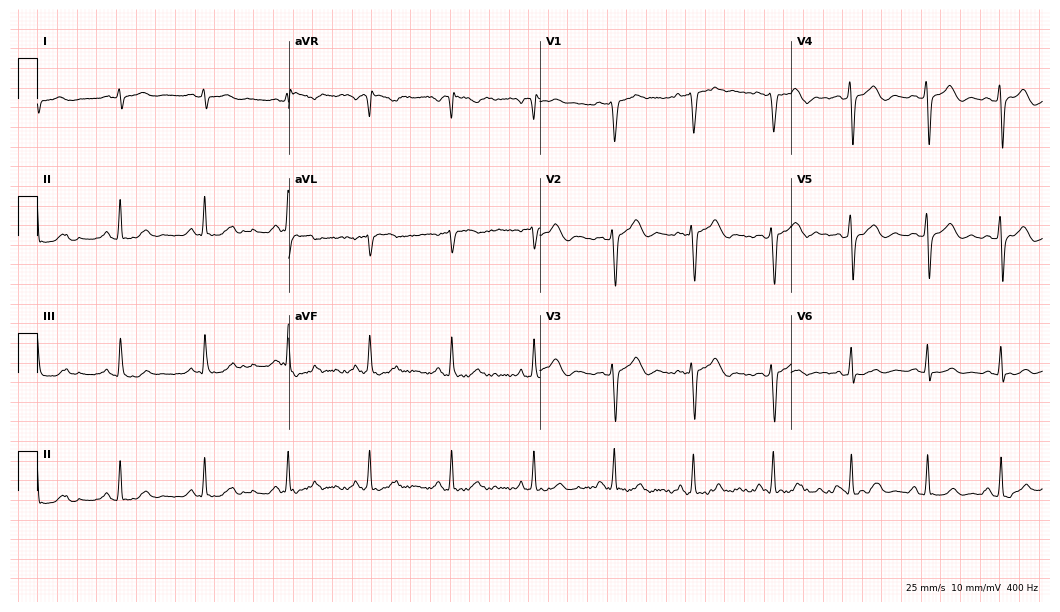
12-lead ECG from a 38-year-old male. Labelled as a normal ECG.